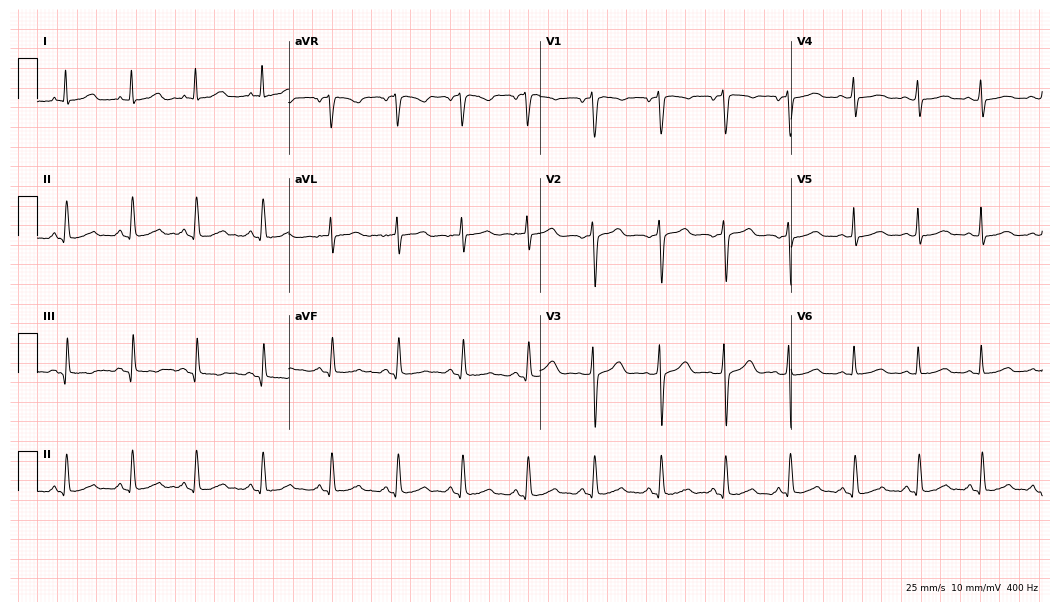
12-lead ECG from a 38-year-old female. Recorded interpretation: within normal limits.